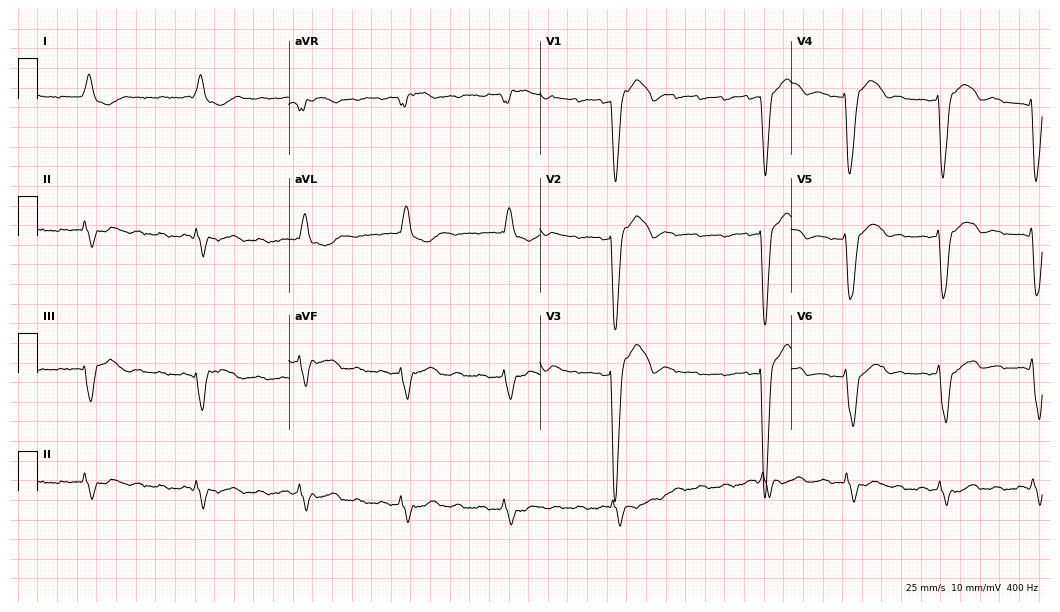
Standard 12-lead ECG recorded from a male patient, 80 years old (10.2-second recording at 400 Hz). The tracing shows left bundle branch block.